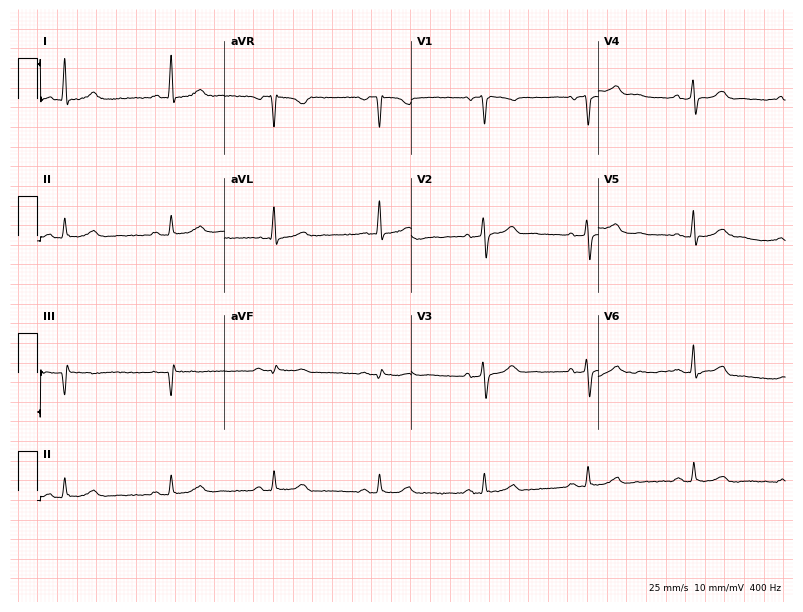
ECG — a female, 80 years old. Labelled as a normal ECG.